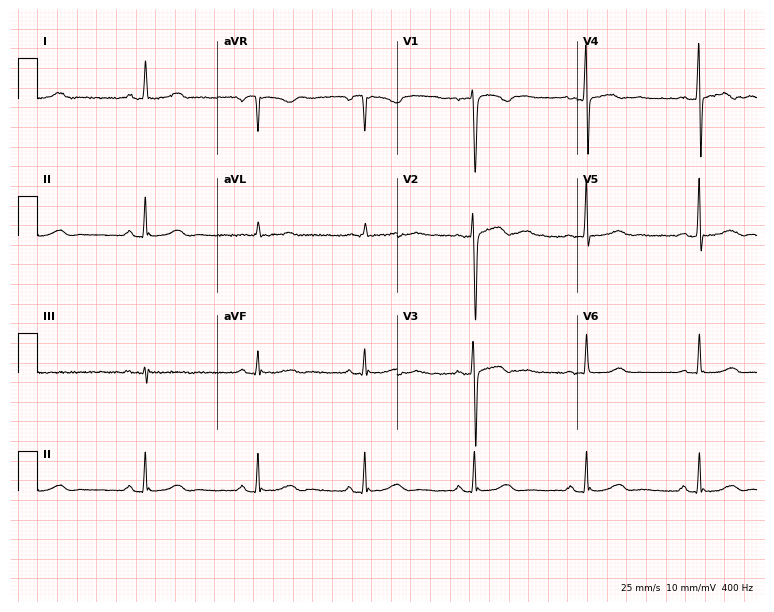
ECG (7.3-second recording at 400 Hz) — a woman, 41 years old. Screened for six findings — first-degree AV block, right bundle branch block (RBBB), left bundle branch block (LBBB), sinus bradycardia, atrial fibrillation (AF), sinus tachycardia — none is recorded. Findings outside these six are not listed.